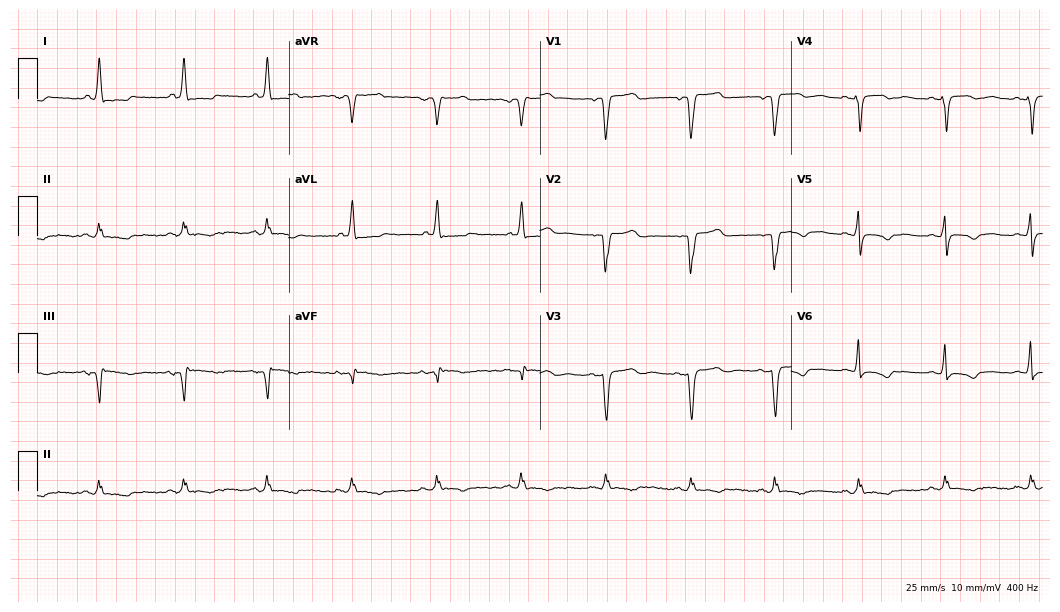
Resting 12-lead electrocardiogram. Patient: a 72-year-old female. None of these six findings is recorded: first-degree AV block, right bundle branch block (RBBB), left bundle branch block (LBBB), sinus bradycardia, atrial fibrillation (AF), sinus tachycardia. Findings outside these six are not listed.